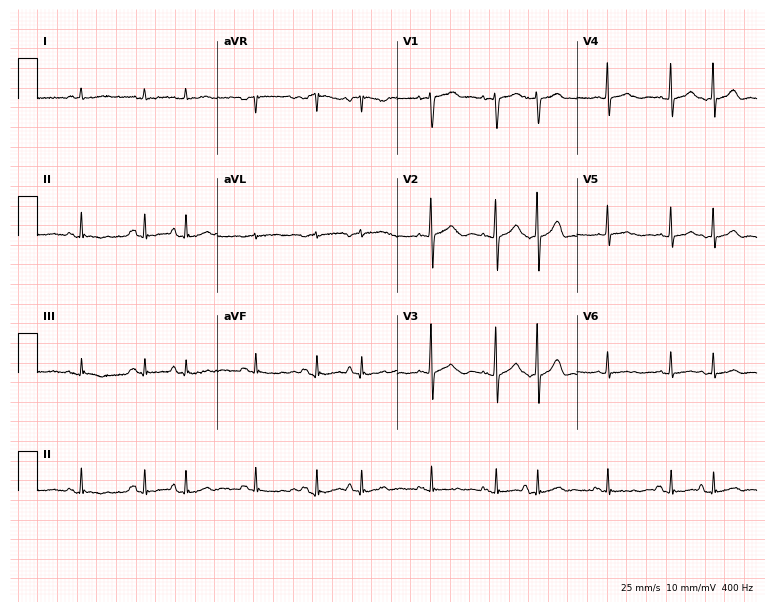
ECG (7.3-second recording at 400 Hz) — a man, 55 years old. Screened for six findings — first-degree AV block, right bundle branch block (RBBB), left bundle branch block (LBBB), sinus bradycardia, atrial fibrillation (AF), sinus tachycardia — none is recorded. Findings outside these six are not listed.